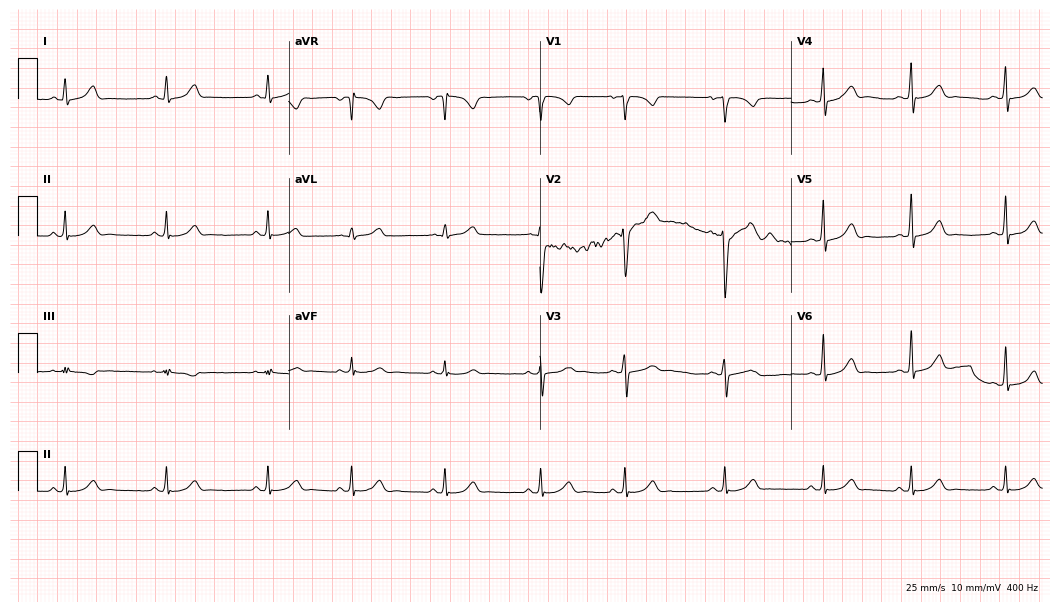
ECG — a female patient, 24 years old. Labelled as a normal ECG.